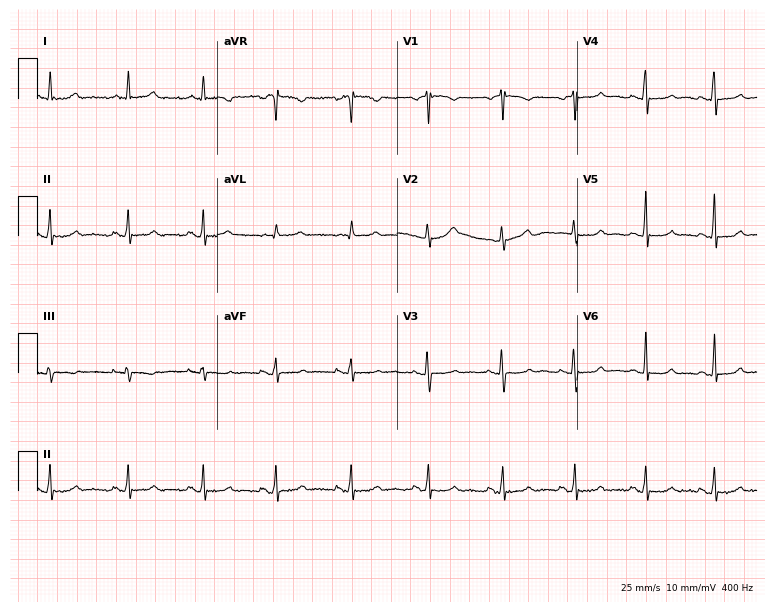
12-lead ECG from a 39-year-old female patient. Recorded interpretation: within normal limits.